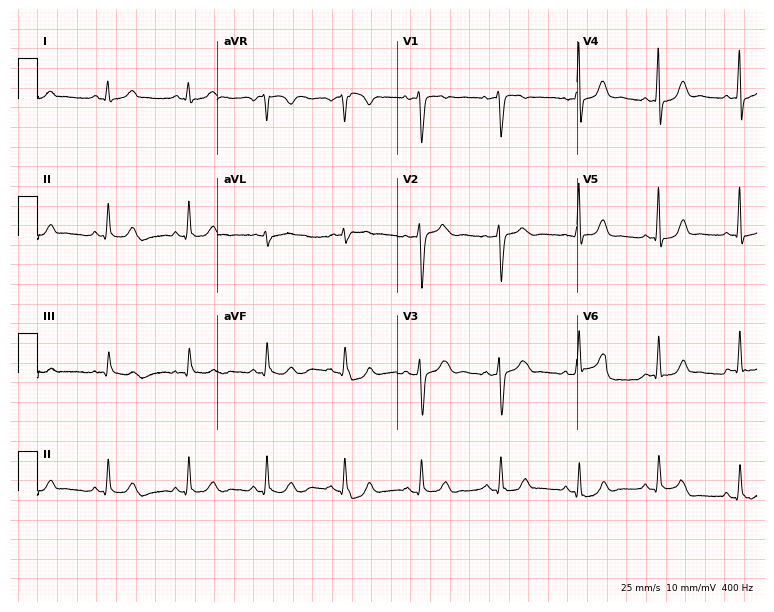
12-lead ECG from a female patient, 49 years old. Recorded interpretation: within normal limits.